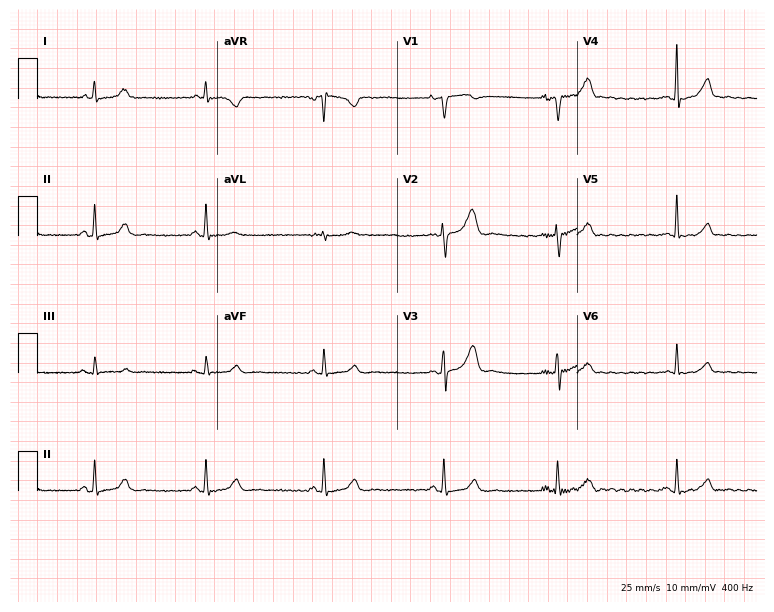
12-lead ECG from a 39-year-old female (7.3-second recording at 400 Hz). Recorded interpretation: within normal limits.